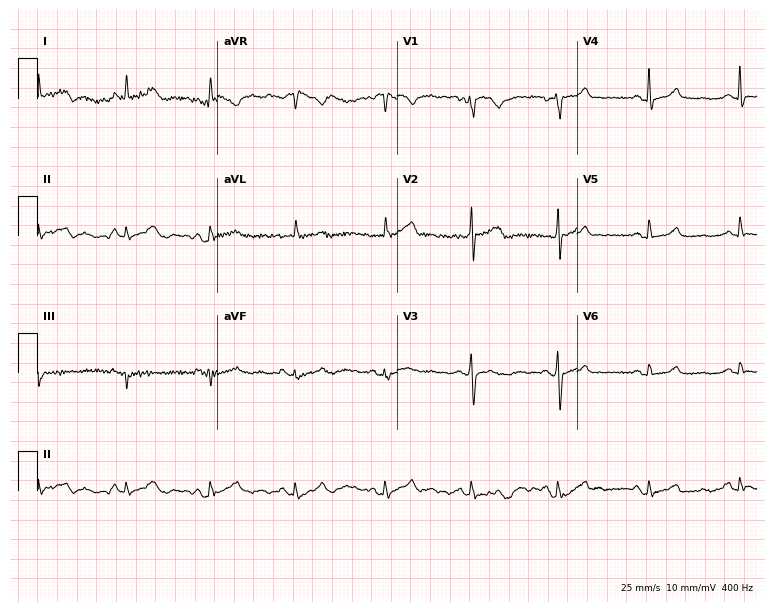
Standard 12-lead ECG recorded from a female, 64 years old (7.3-second recording at 400 Hz). Read as a normal ECG.